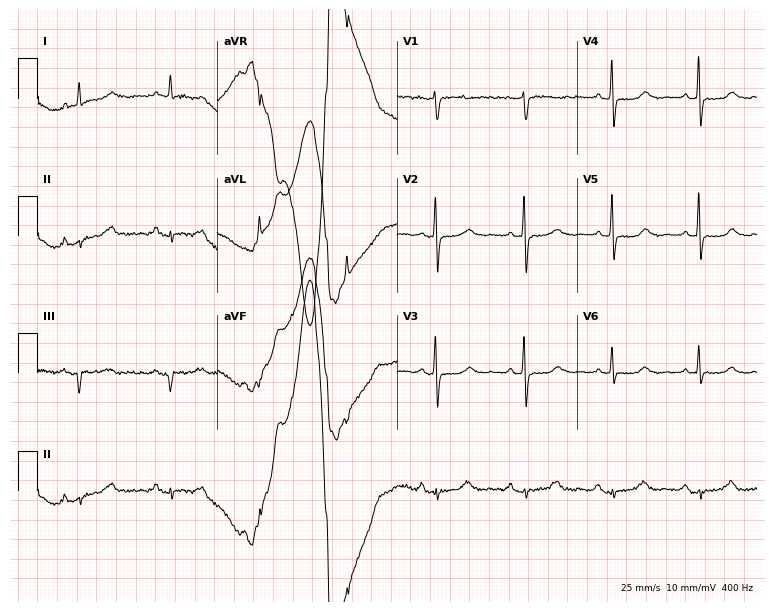
Electrocardiogram, a woman, 62 years old. Of the six screened findings (first-degree AV block, right bundle branch block (RBBB), left bundle branch block (LBBB), sinus bradycardia, atrial fibrillation (AF), sinus tachycardia), none is recorded.